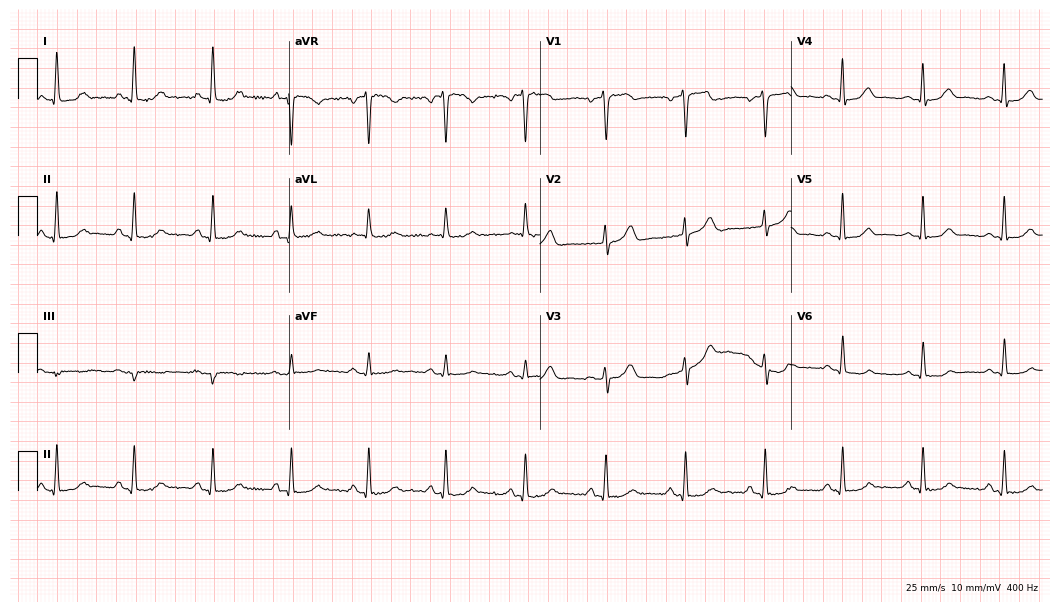
Resting 12-lead electrocardiogram. Patient: a 52-year-old female. None of these six findings is recorded: first-degree AV block, right bundle branch block, left bundle branch block, sinus bradycardia, atrial fibrillation, sinus tachycardia. Findings outside these six are not listed.